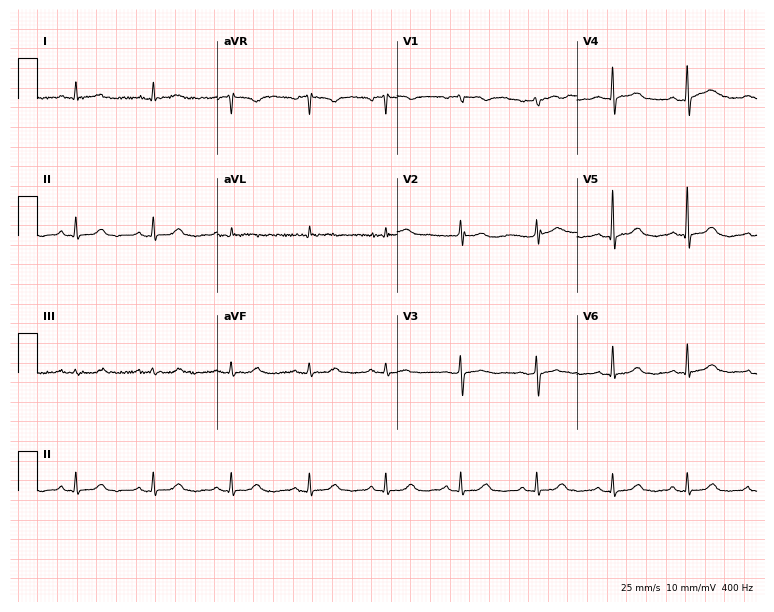
12-lead ECG from a 67-year-old woman. Recorded interpretation: within normal limits.